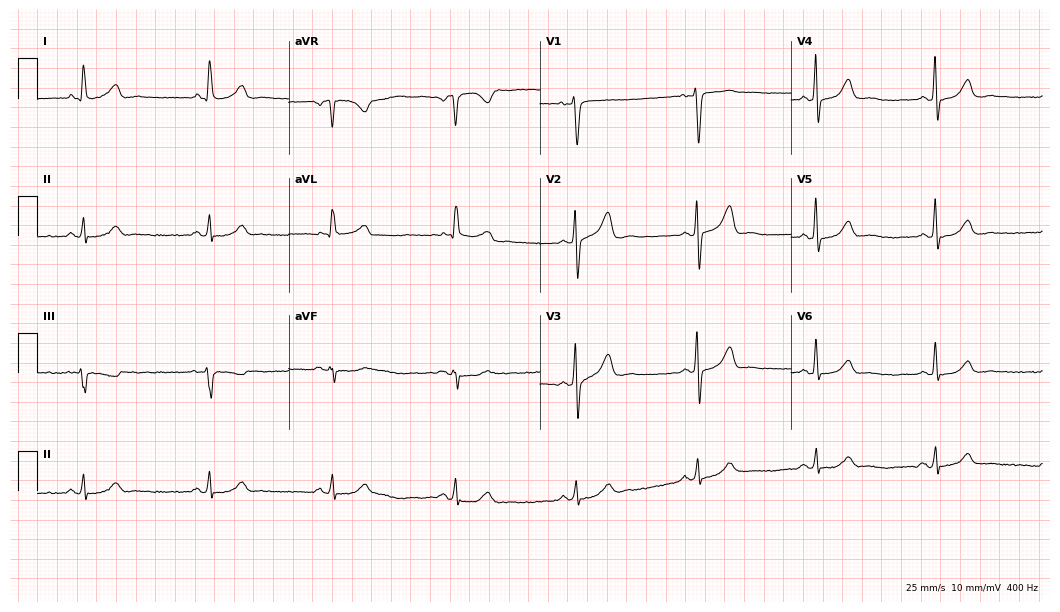
Standard 12-lead ECG recorded from a 60-year-old female patient. The tracing shows sinus bradycardia (a sinus rate of 50 beats per minute or less).